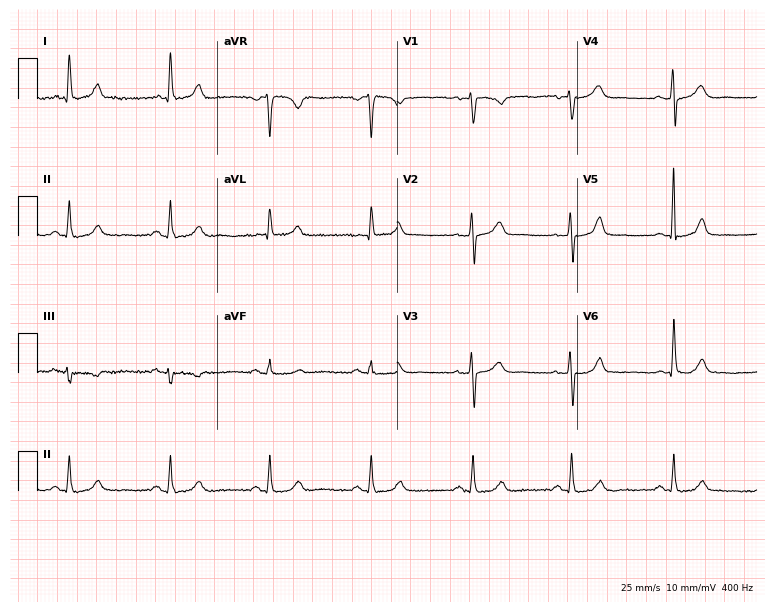
12-lead ECG from a 64-year-old woman (7.3-second recording at 400 Hz). Recorded interpretation: within normal limits.